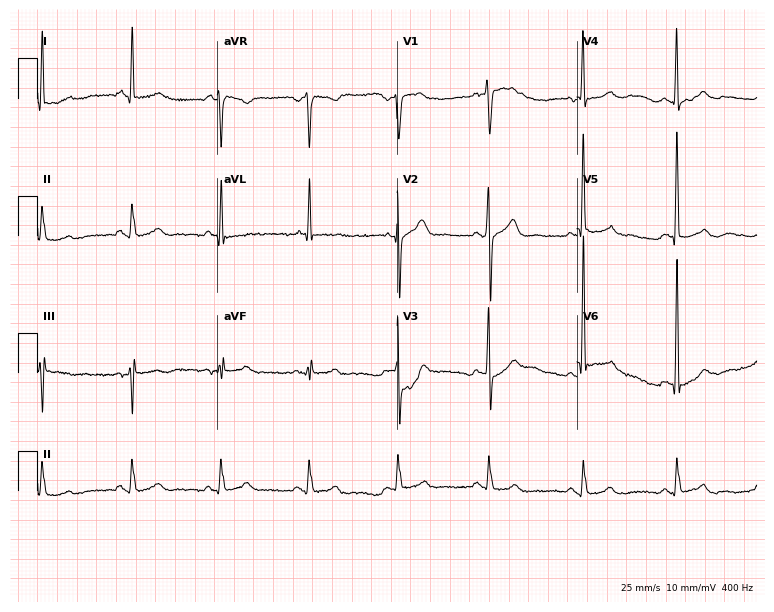
Electrocardiogram, a male patient, 54 years old. Of the six screened findings (first-degree AV block, right bundle branch block, left bundle branch block, sinus bradycardia, atrial fibrillation, sinus tachycardia), none is recorded.